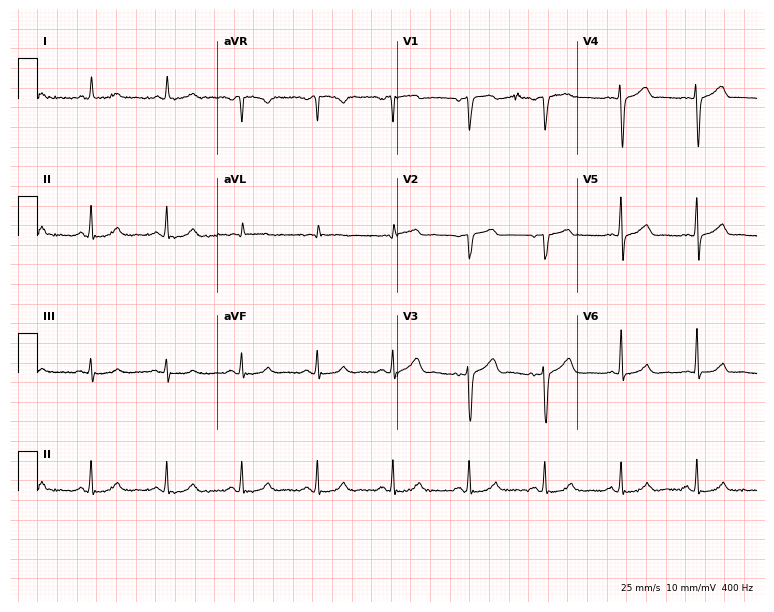
12-lead ECG (7.3-second recording at 400 Hz) from a male, 54 years old. Screened for six findings — first-degree AV block, right bundle branch block, left bundle branch block, sinus bradycardia, atrial fibrillation, sinus tachycardia — none is recorded. Other findings, if any, are not listed.